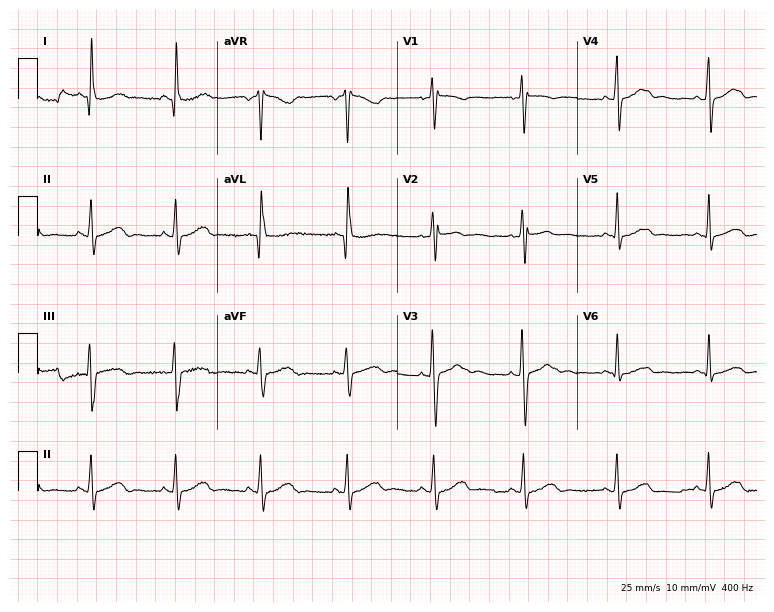
12-lead ECG from a 33-year-old female. Screened for six findings — first-degree AV block, right bundle branch block (RBBB), left bundle branch block (LBBB), sinus bradycardia, atrial fibrillation (AF), sinus tachycardia — none is recorded. Findings outside these six are not listed.